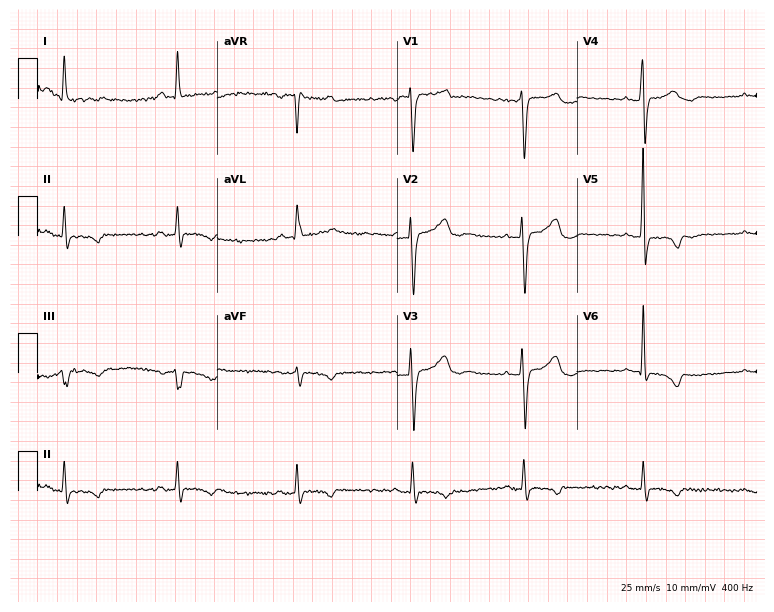
Electrocardiogram (7.3-second recording at 400 Hz), a 51-year-old female. Of the six screened findings (first-degree AV block, right bundle branch block (RBBB), left bundle branch block (LBBB), sinus bradycardia, atrial fibrillation (AF), sinus tachycardia), none is recorded. Other findings, if any, are not listed.